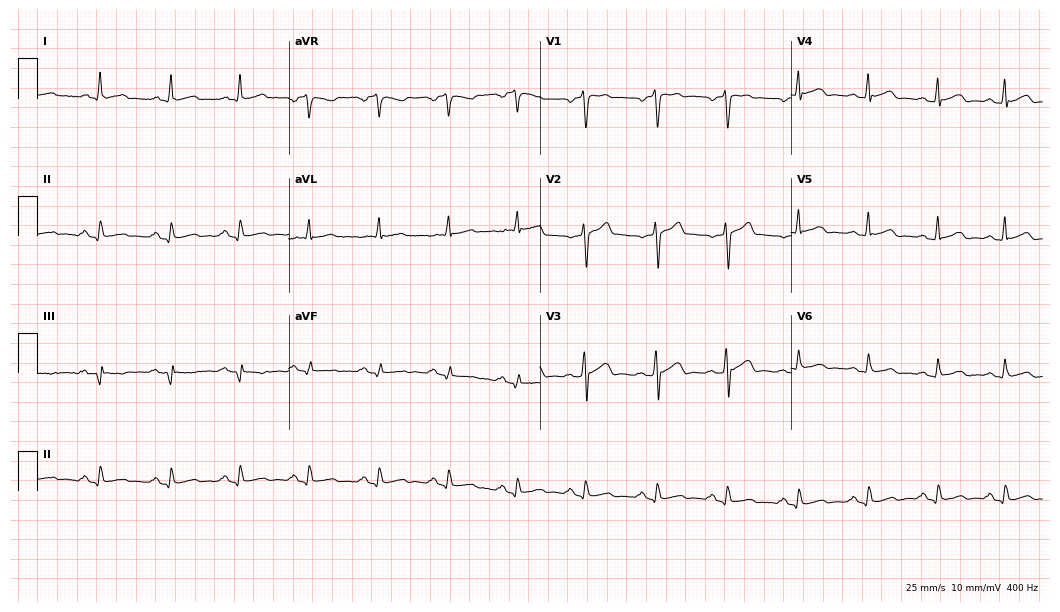
12-lead ECG from a man, 27 years old. Recorded interpretation: within normal limits.